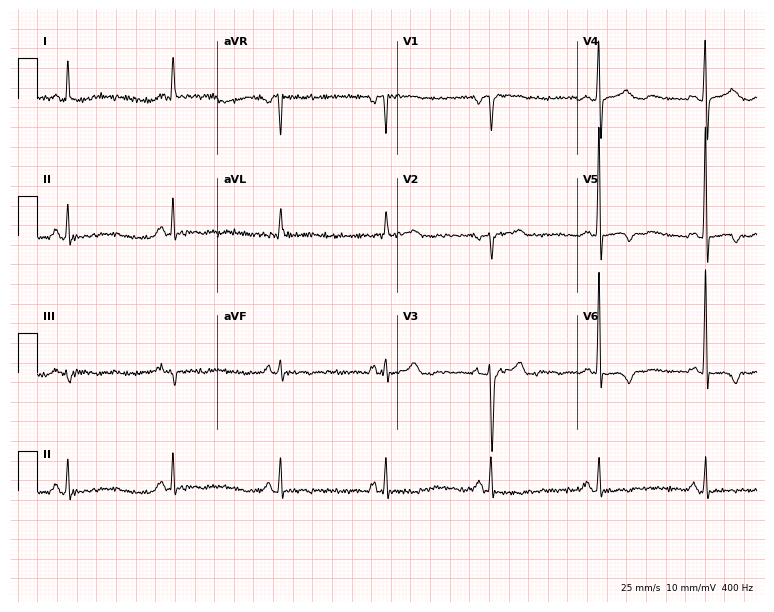
Electrocardiogram, a female, 61 years old. Overall reading on record: normal ECG.